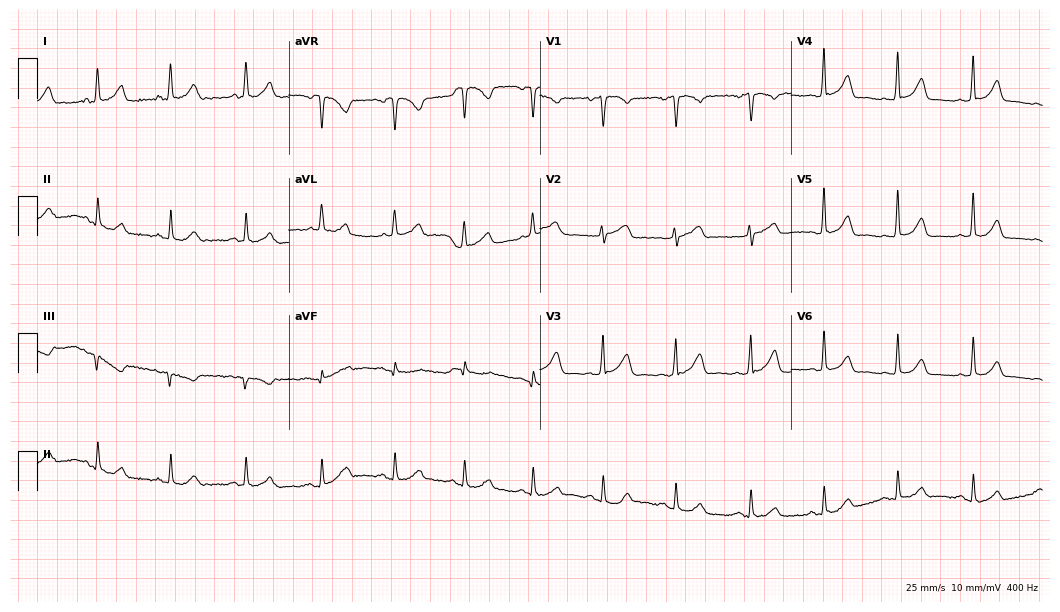
12-lead ECG from a woman, 61 years old (10.2-second recording at 400 Hz). Recorded interpretation: within normal limits.